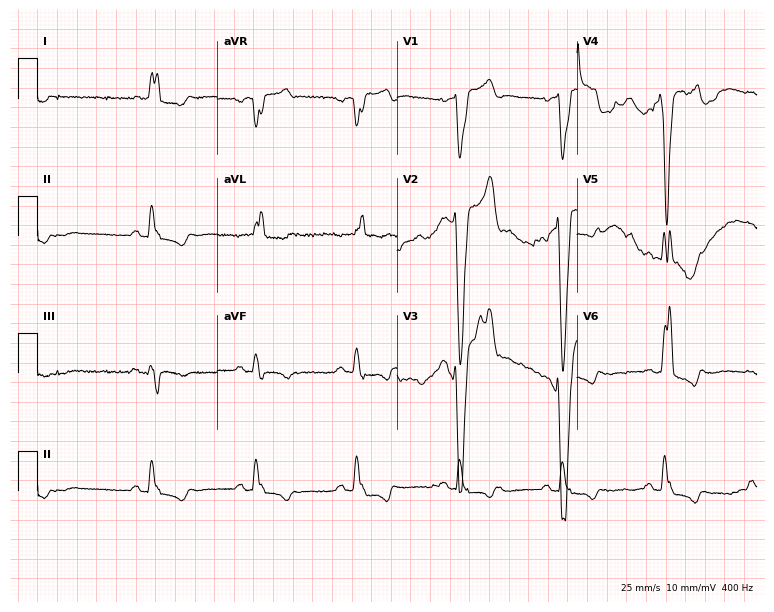
Resting 12-lead electrocardiogram (7.3-second recording at 400 Hz). Patient: a male, 85 years old. The tracing shows left bundle branch block.